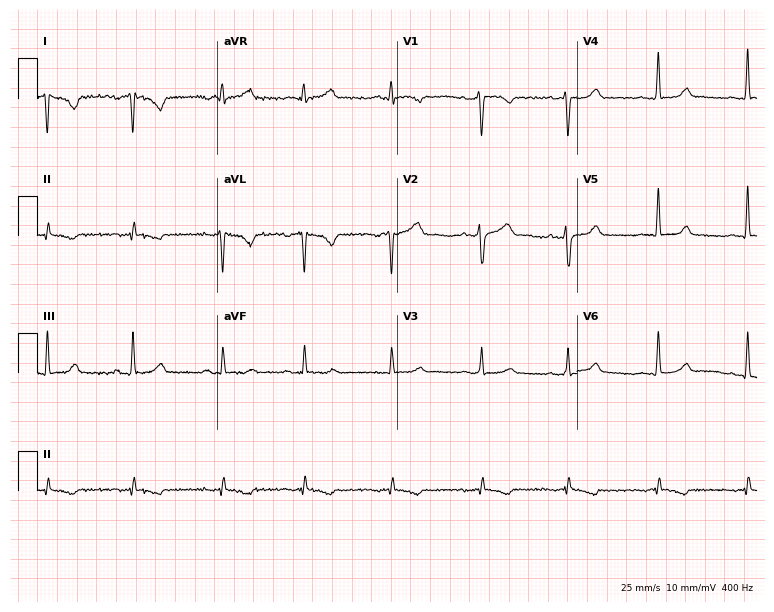
12-lead ECG (7.3-second recording at 400 Hz) from a woman, 44 years old. Screened for six findings — first-degree AV block, right bundle branch block, left bundle branch block, sinus bradycardia, atrial fibrillation, sinus tachycardia — none is recorded.